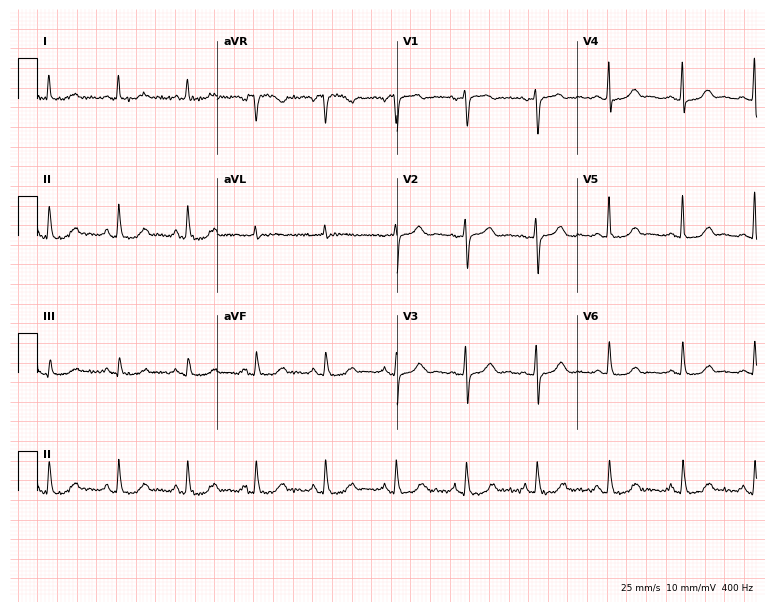
12-lead ECG (7.3-second recording at 400 Hz) from a 72-year-old female. Labelled as a normal ECG.